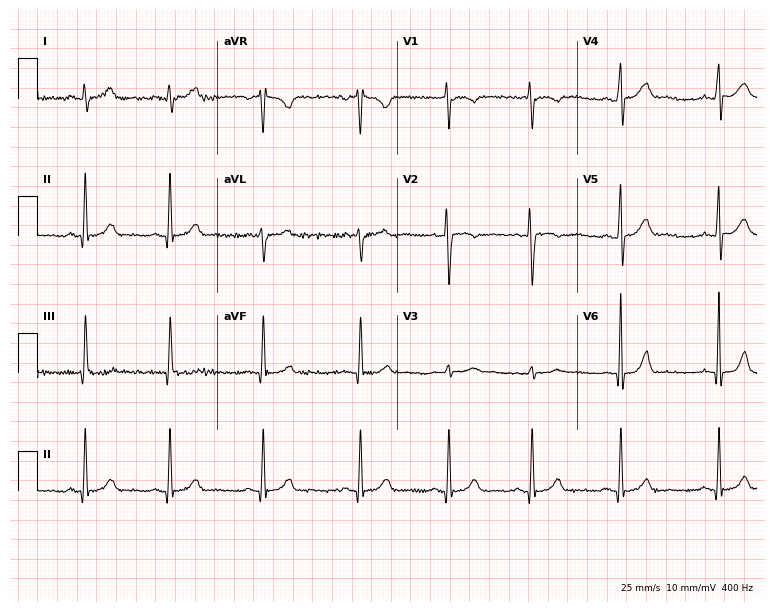
12-lead ECG (7.3-second recording at 400 Hz) from a woman, 20 years old. Screened for six findings — first-degree AV block, right bundle branch block, left bundle branch block, sinus bradycardia, atrial fibrillation, sinus tachycardia — none is recorded.